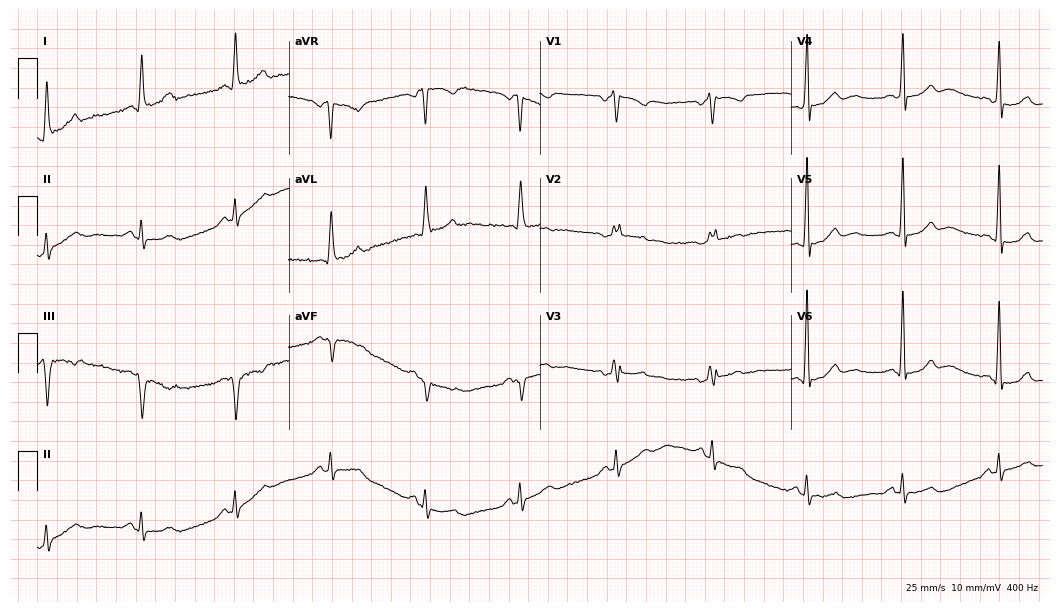
Electrocardiogram, a female patient, 63 years old. Of the six screened findings (first-degree AV block, right bundle branch block (RBBB), left bundle branch block (LBBB), sinus bradycardia, atrial fibrillation (AF), sinus tachycardia), none is recorded.